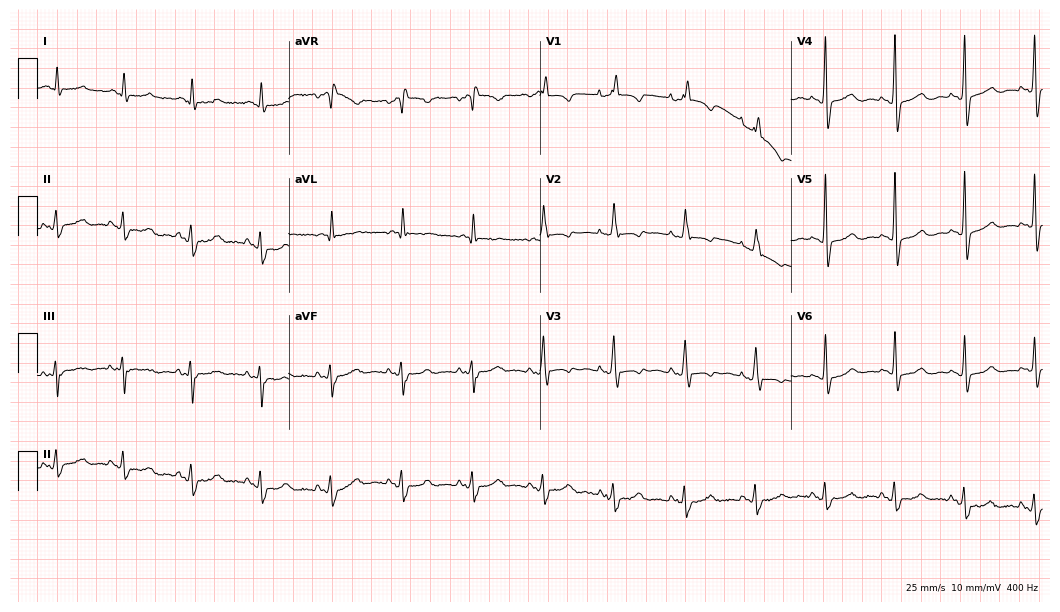
12-lead ECG (10.2-second recording at 400 Hz) from a female, 76 years old. Screened for six findings — first-degree AV block, right bundle branch block (RBBB), left bundle branch block (LBBB), sinus bradycardia, atrial fibrillation (AF), sinus tachycardia — none is recorded.